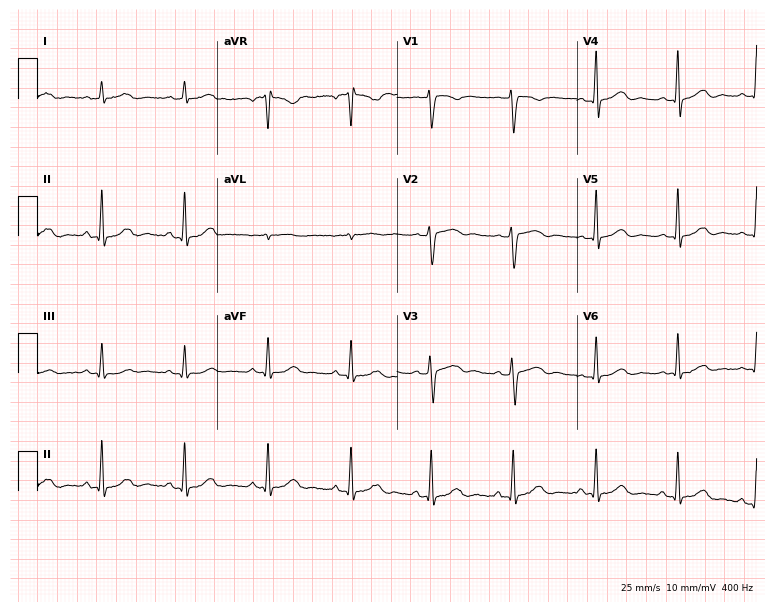
12-lead ECG from a female patient, 53 years old (7.3-second recording at 400 Hz). No first-degree AV block, right bundle branch block (RBBB), left bundle branch block (LBBB), sinus bradycardia, atrial fibrillation (AF) or sinus tachycardia recorded for this tracing.